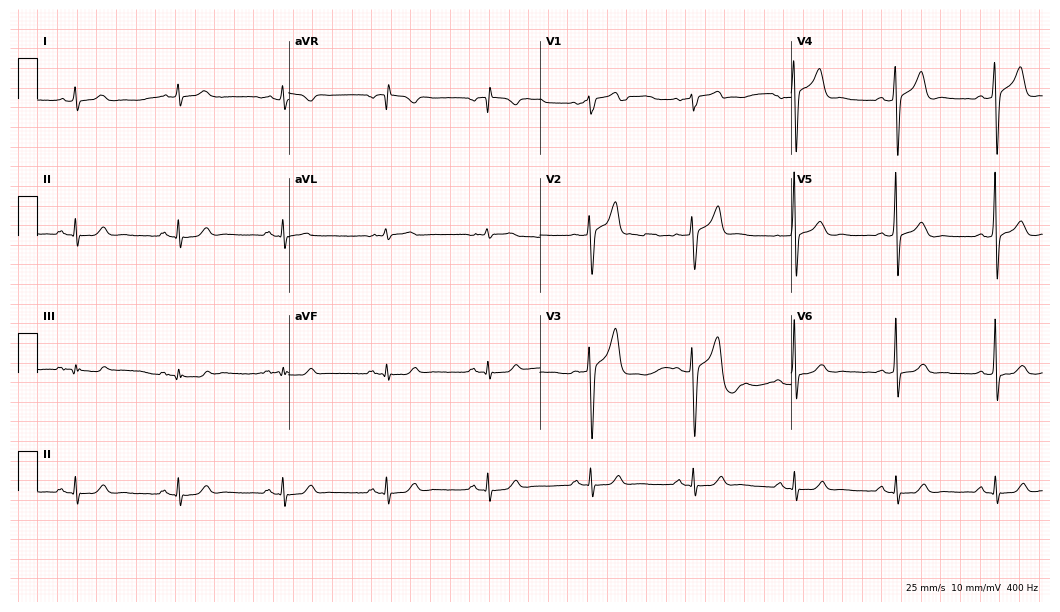
Electrocardiogram (10.2-second recording at 400 Hz), a 54-year-old male. Overall reading on record: normal ECG.